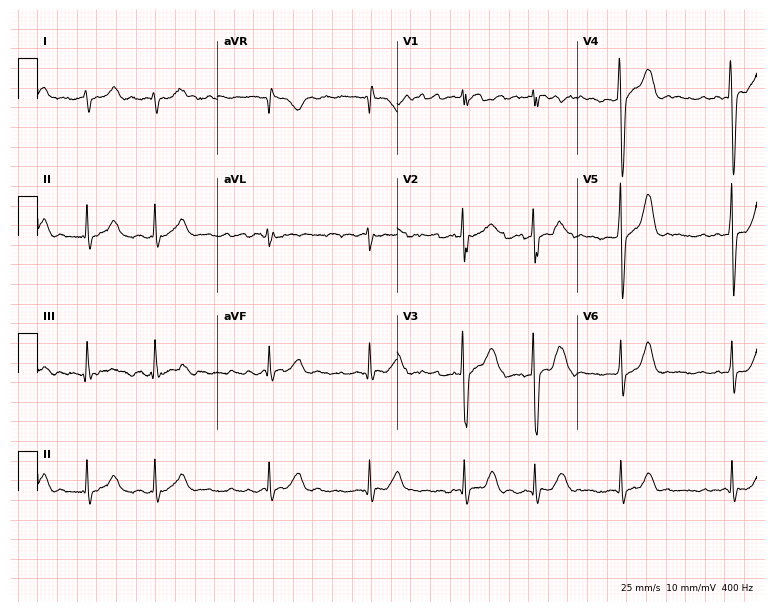
Resting 12-lead electrocardiogram (7.3-second recording at 400 Hz). Patient: a 44-year-old male. The tracing shows atrial fibrillation (AF).